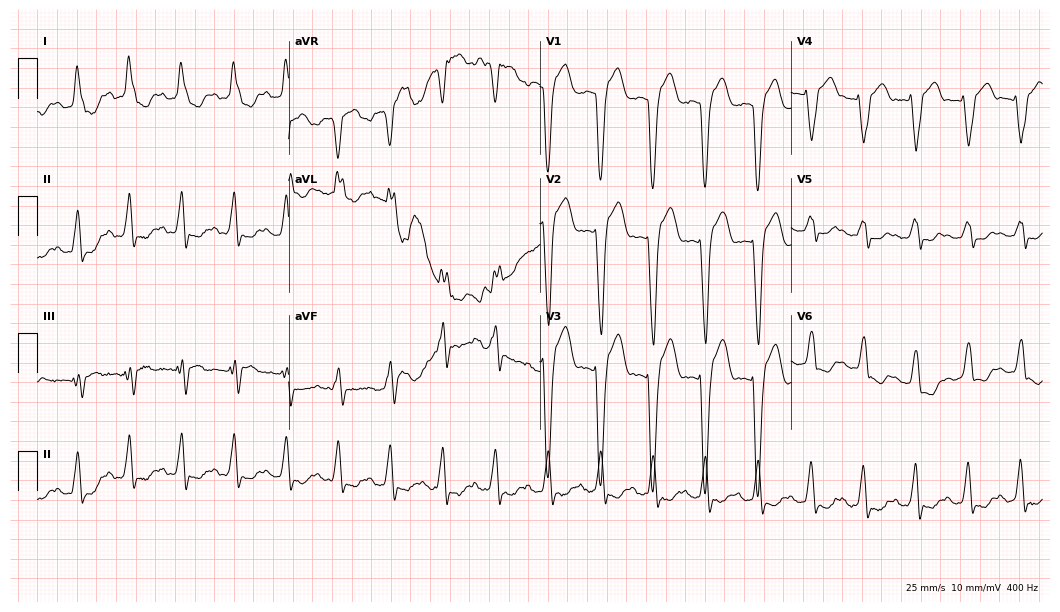
12-lead ECG (10.2-second recording at 400 Hz) from a female patient, 84 years old. Findings include left bundle branch block, sinus tachycardia (a sinus rate of 100 beats per minute or more).